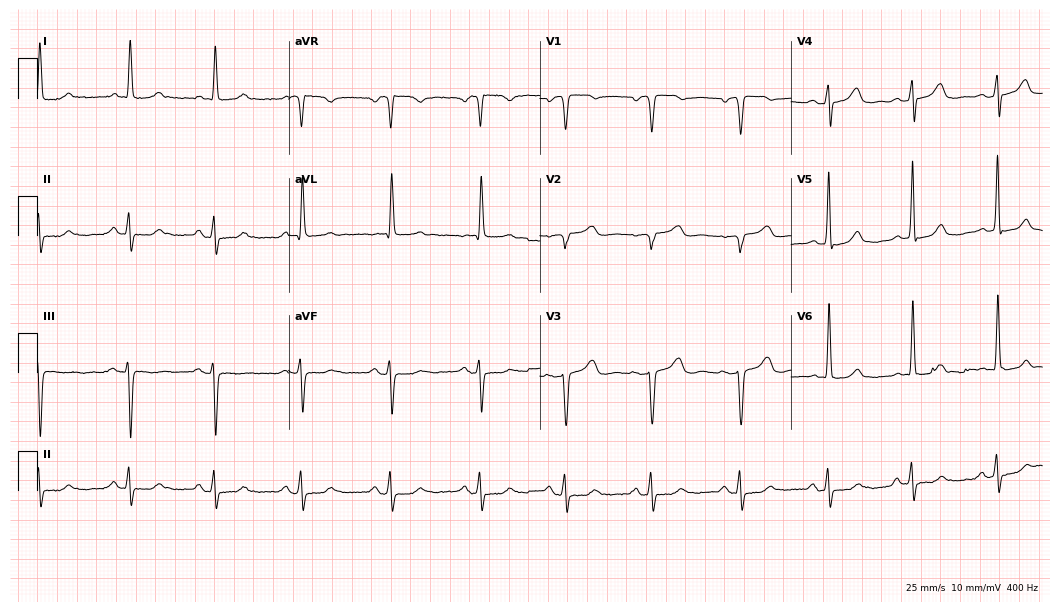
12-lead ECG from a female patient, 72 years old. Screened for six findings — first-degree AV block, right bundle branch block (RBBB), left bundle branch block (LBBB), sinus bradycardia, atrial fibrillation (AF), sinus tachycardia — none is recorded. Only these six findings were labelled.